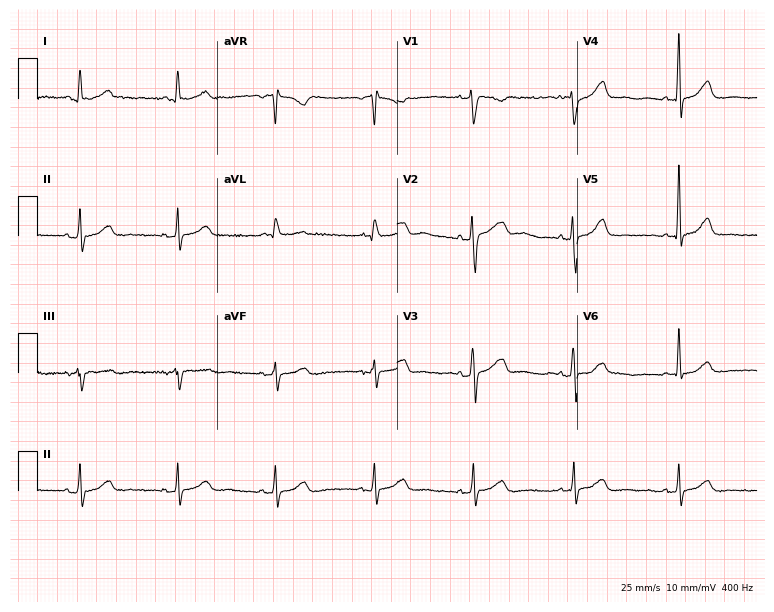
Resting 12-lead electrocardiogram. Patient: a female, 64 years old. None of these six findings is recorded: first-degree AV block, right bundle branch block, left bundle branch block, sinus bradycardia, atrial fibrillation, sinus tachycardia.